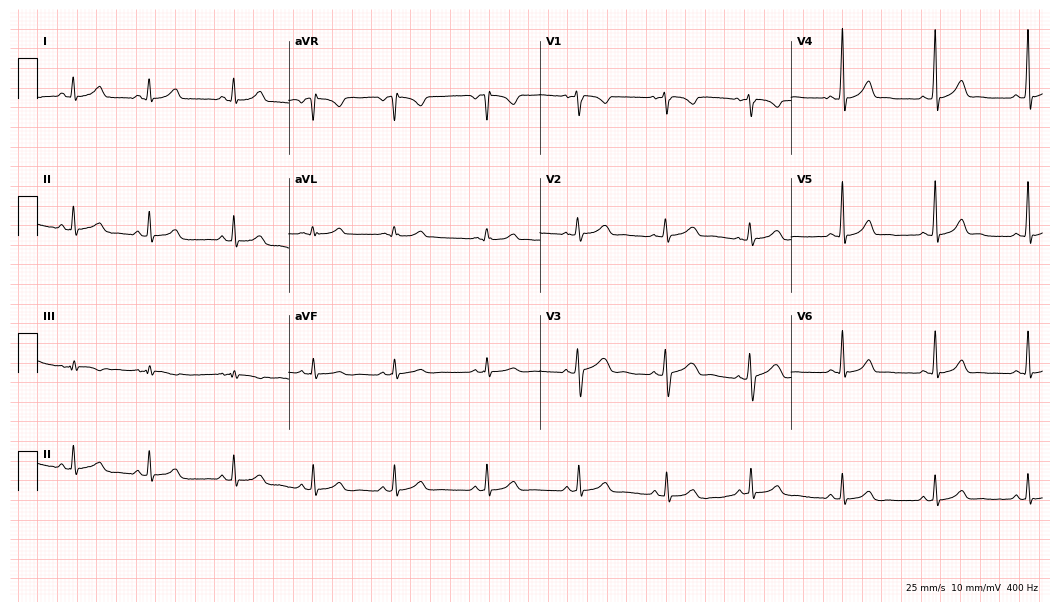
ECG (10.2-second recording at 400 Hz) — an 18-year-old female patient. Labelled as a normal ECG.